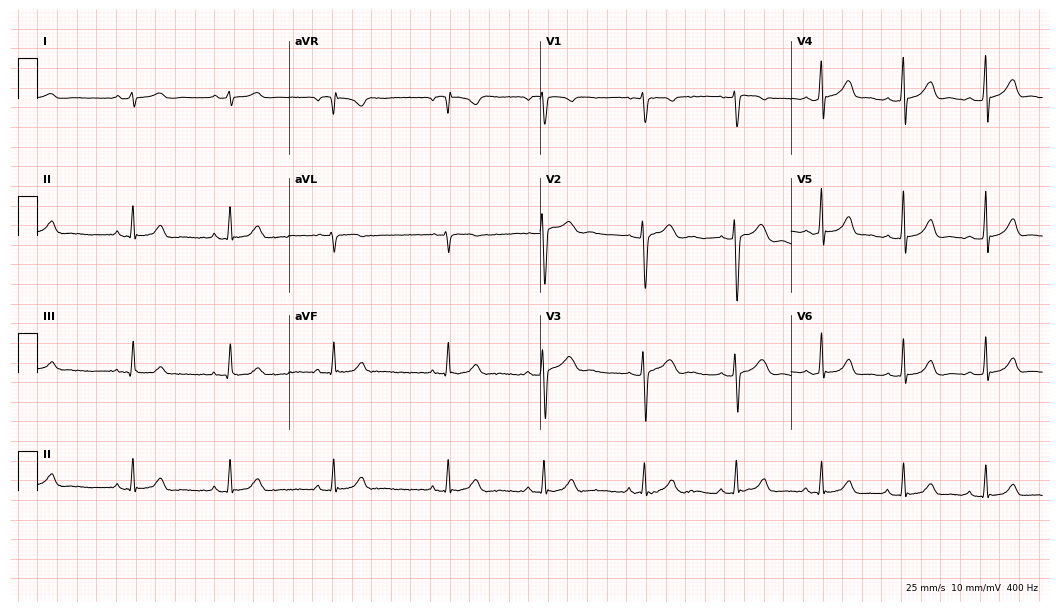
12-lead ECG from a female patient, 23 years old. Labelled as a normal ECG.